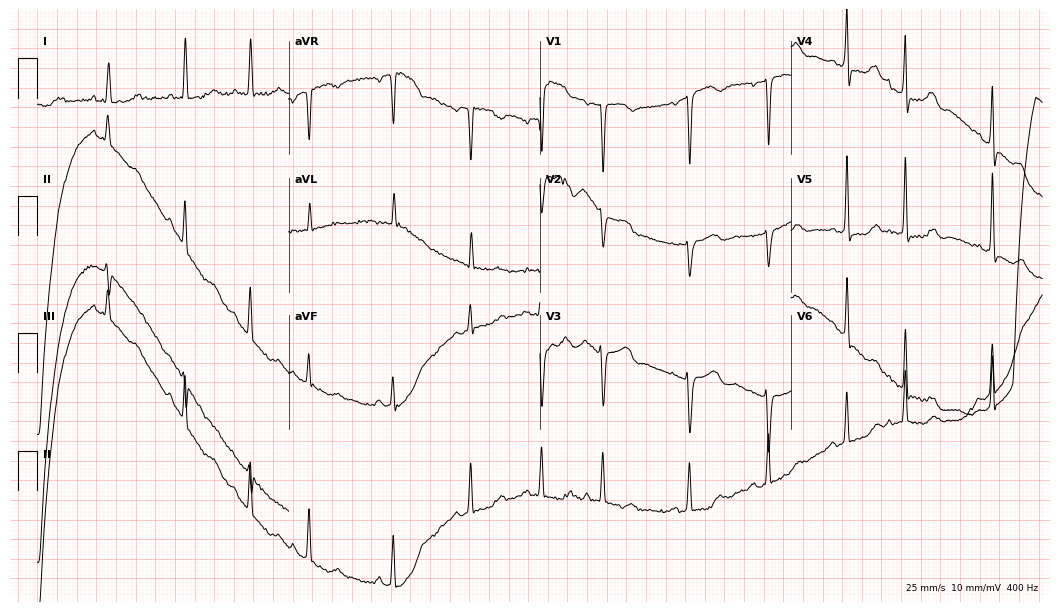
Standard 12-lead ECG recorded from an 86-year-old woman. None of these six findings is recorded: first-degree AV block, right bundle branch block, left bundle branch block, sinus bradycardia, atrial fibrillation, sinus tachycardia. Other findings, if any, are not listed.